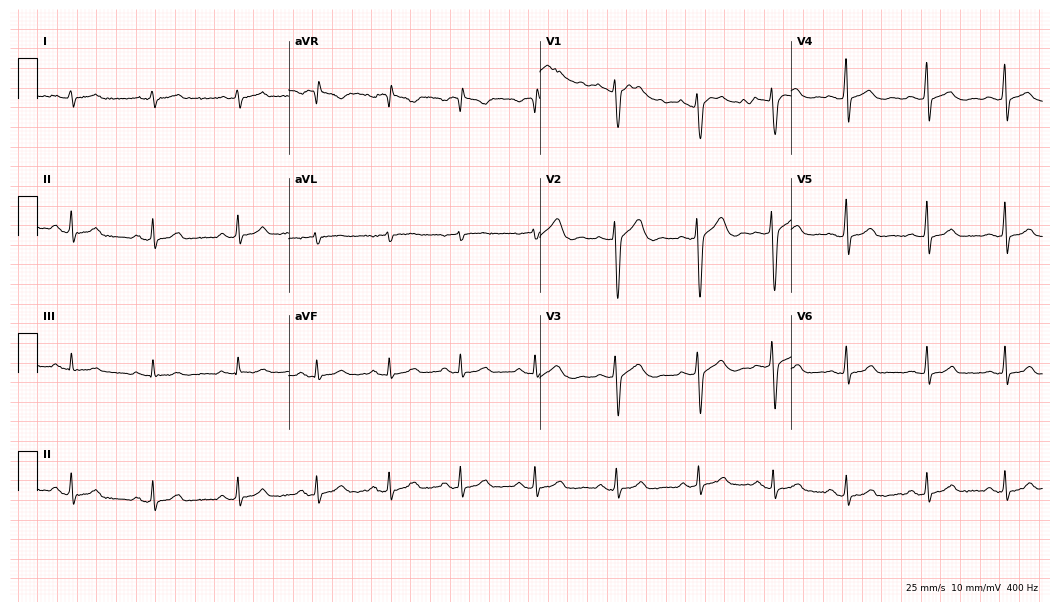
12-lead ECG (10.2-second recording at 400 Hz) from a 23-year-old woman. Labelled as a normal ECG.